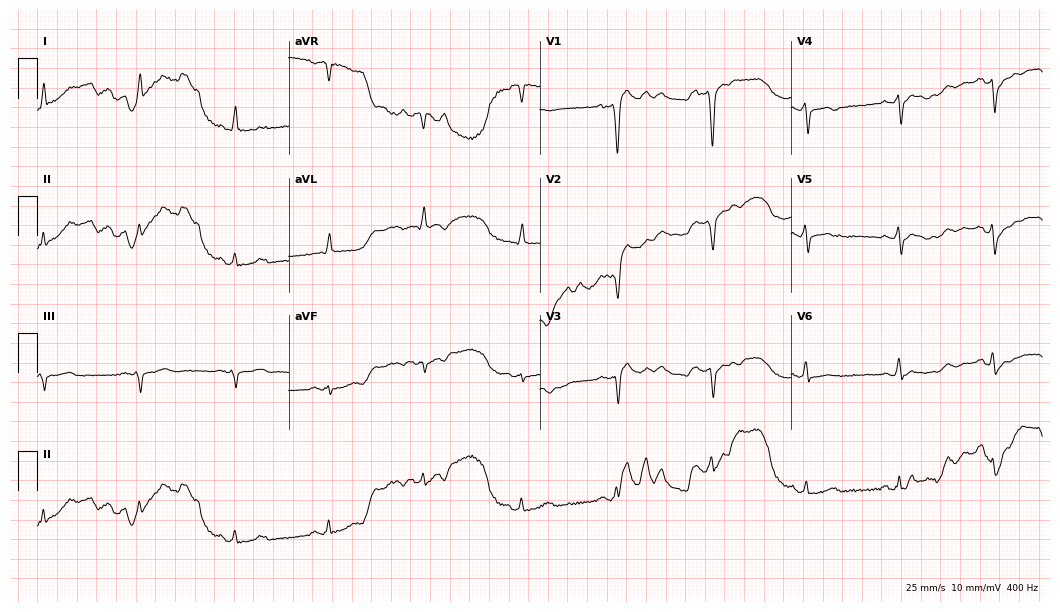
Resting 12-lead electrocardiogram. Patient: a man, 58 years old. None of these six findings is recorded: first-degree AV block, right bundle branch block (RBBB), left bundle branch block (LBBB), sinus bradycardia, atrial fibrillation (AF), sinus tachycardia.